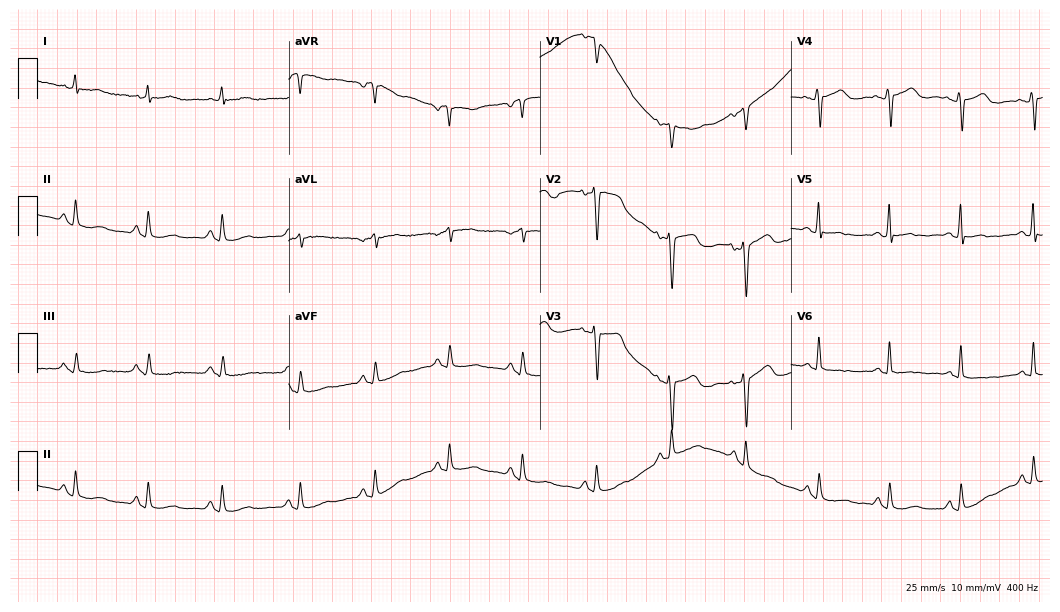
Electrocardiogram, a female patient, 53 years old. Of the six screened findings (first-degree AV block, right bundle branch block, left bundle branch block, sinus bradycardia, atrial fibrillation, sinus tachycardia), none is recorded. Only these six findings were labelled.